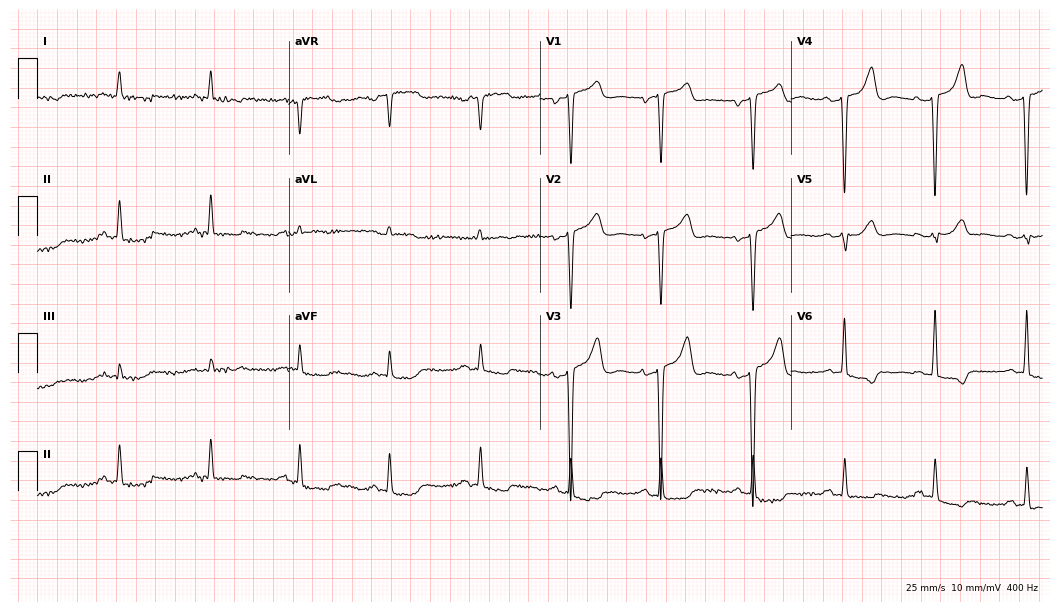
Electrocardiogram (10.2-second recording at 400 Hz), a 75-year-old man. Of the six screened findings (first-degree AV block, right bundle branch block (RBBB), left bundle branch block (LBBB), sinus bradycardia, atrial fibrillation (AF), sinus tachycardia), none is recorded. Only these six findings were labelled.